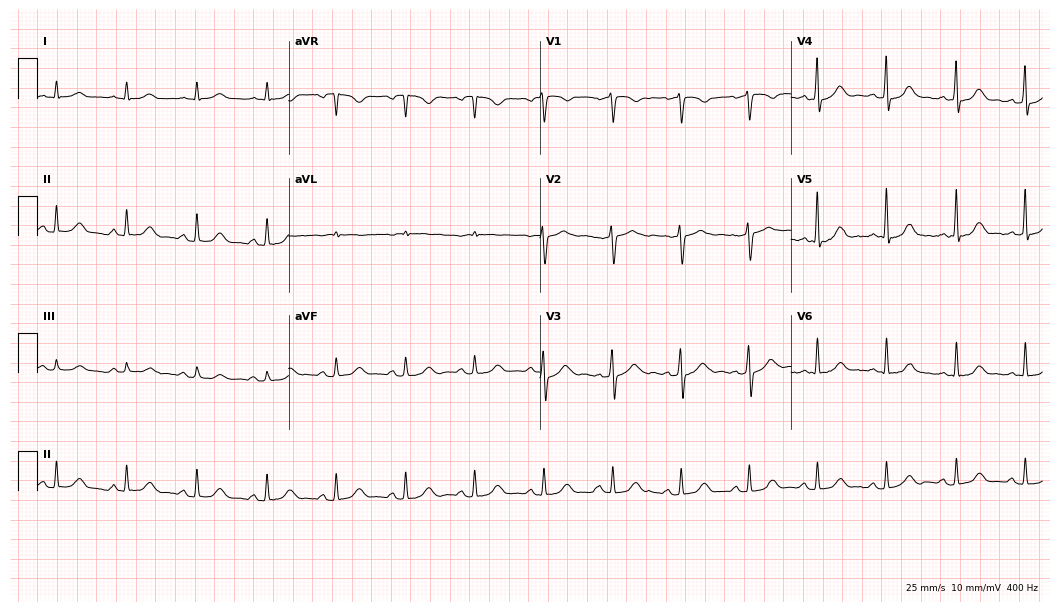
Electrocardiogram, a 63-year-old woman. Overall reading on record: normal ECG.